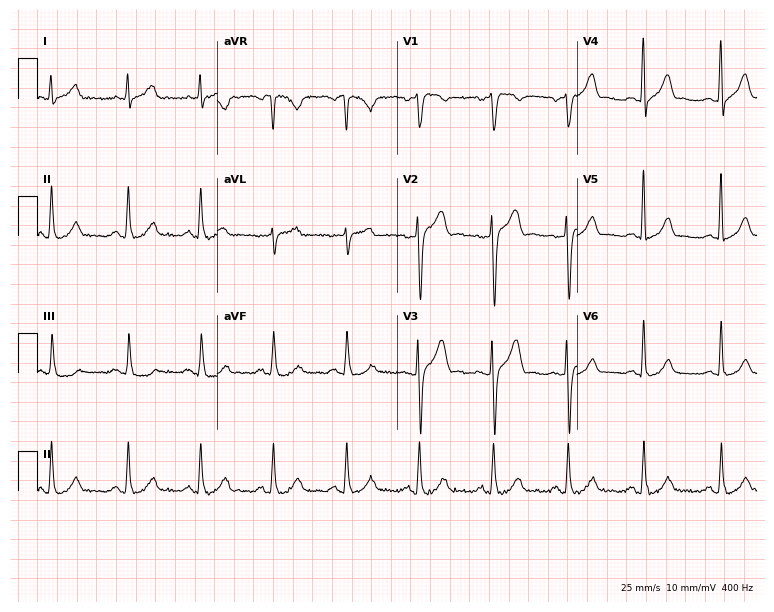
ECG (7.3-second recording at 400 Hz) — a male, 33 years old. Labelled as a normal ECG.